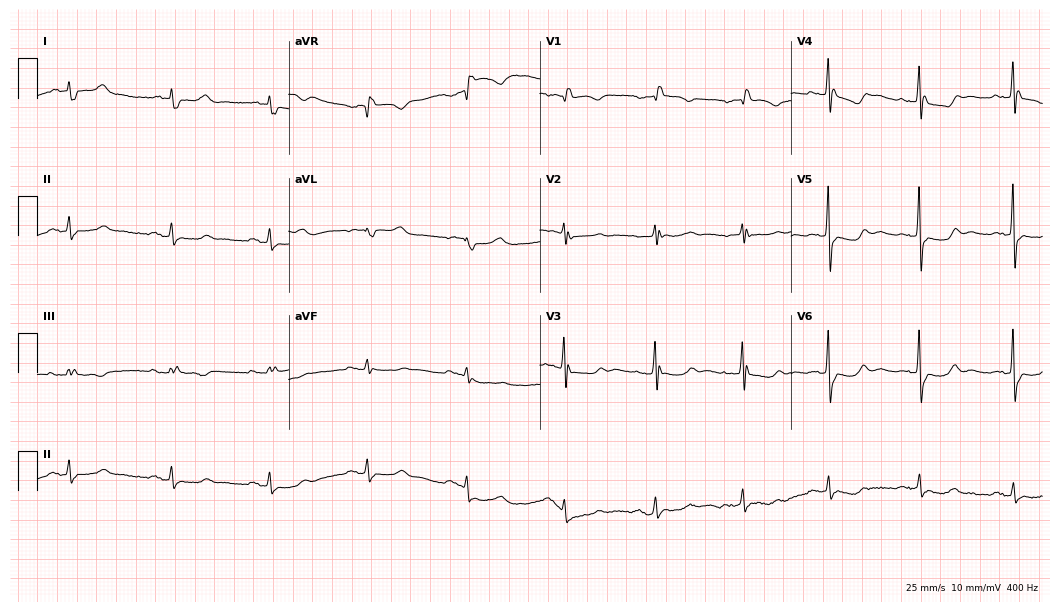
Electrocardiogram, an 82-year-old female patient. Interpretation includes right bundle branch block (RBBB).